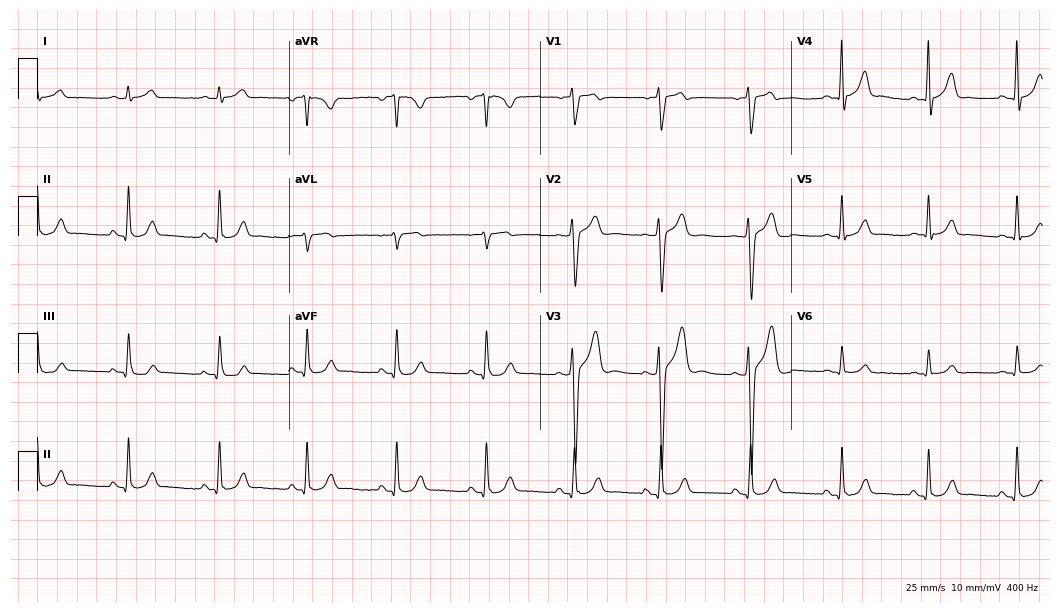
Electrocardiogram, a male, 38 years old. Overall reading on record: normal ECG.